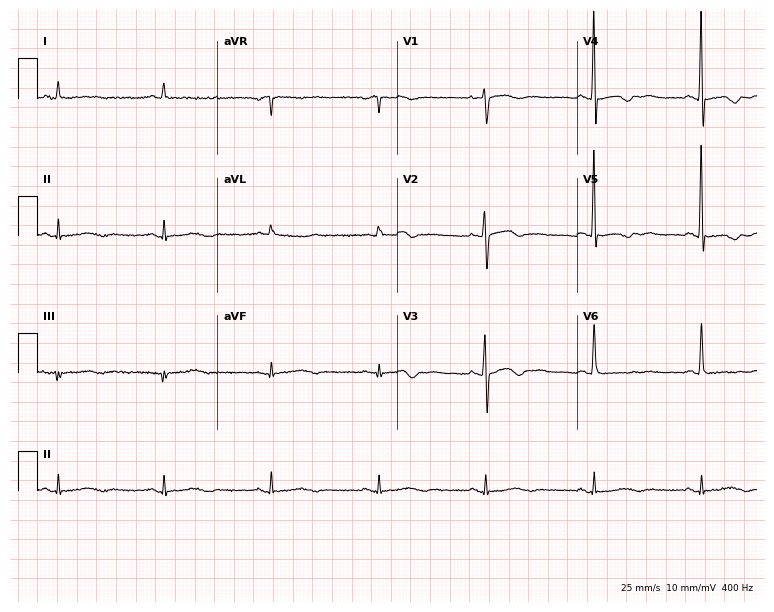
Resting 12-lead electrocardiogram. Patient: a female, 74 years old. None of these six findings is recorded: first-degree AV block, right bundle branch block, left bundle branch block, sinus bradycardia, atrial fibrillation, sinus tachycardia.